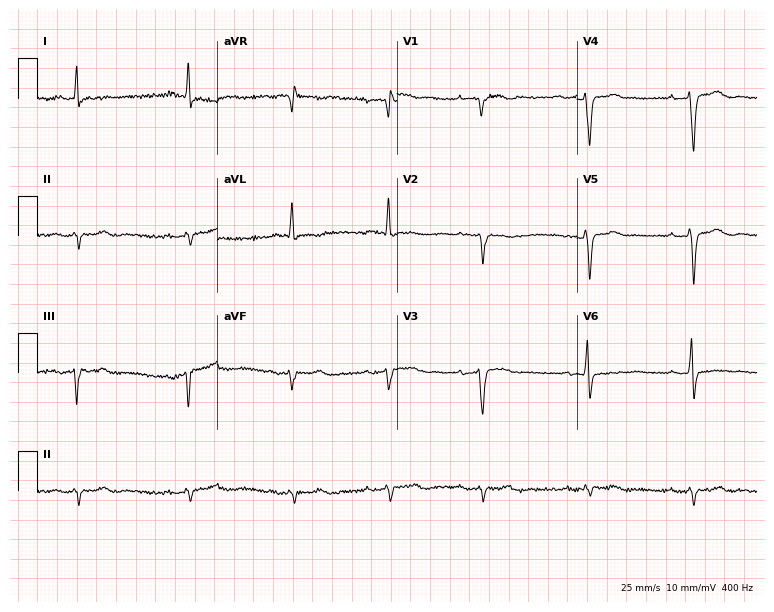
Resting 12-lead electrocardiogram (7.3-second recording at 400 Hz). Patient: a woman, 72 years old. None of these six findings is recorded: first-degree AV block, right bundle branch block, left bundle branch block, sinus bradycardia, atrial fibrillation, sinus tachycardia. Other findings, if any, are not listed.